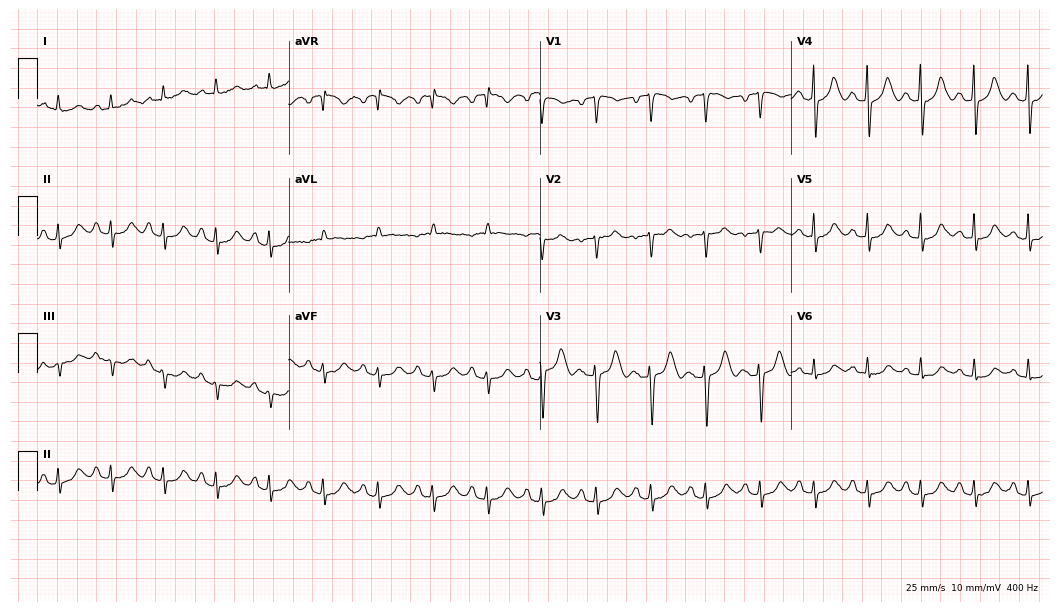
Resting 12-lead electrocardiogram (10.2-second recording at 400 Hz). Patient: a woman, 55 years old. The tracing shows sinus tachycardia (a sinus rate of 100 beats per minute or more).